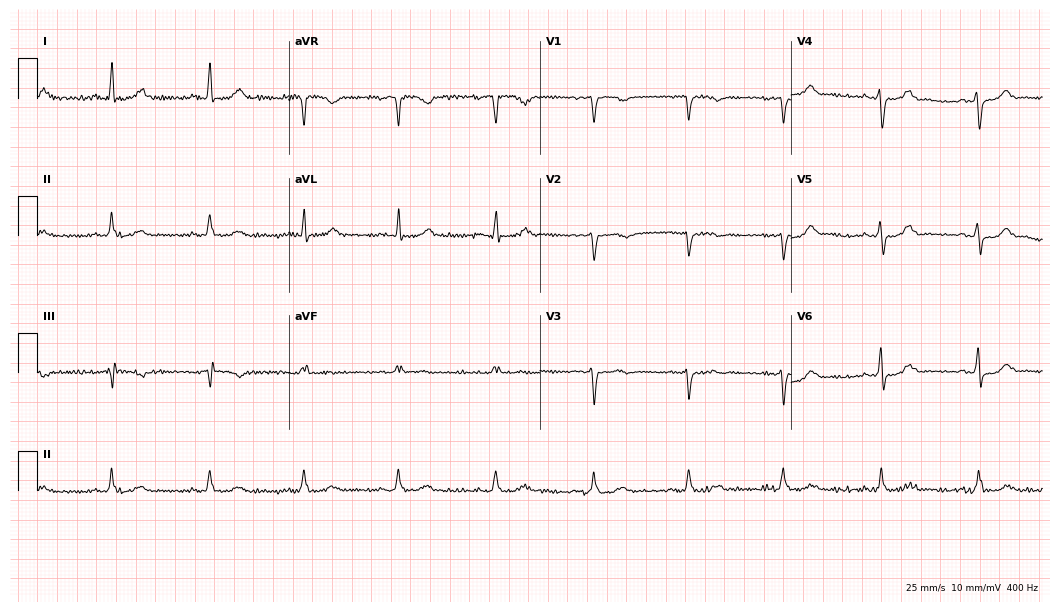
Standard 12-lead ECG recorded from a female patient, 71 years old. None of these six findings is recorded: first-degree AV block, right bundle branch block (RBBB), left bundle branch block (LBBB), sinus bradycardia, atrial fibrillation (AF), sinus tachycardia.